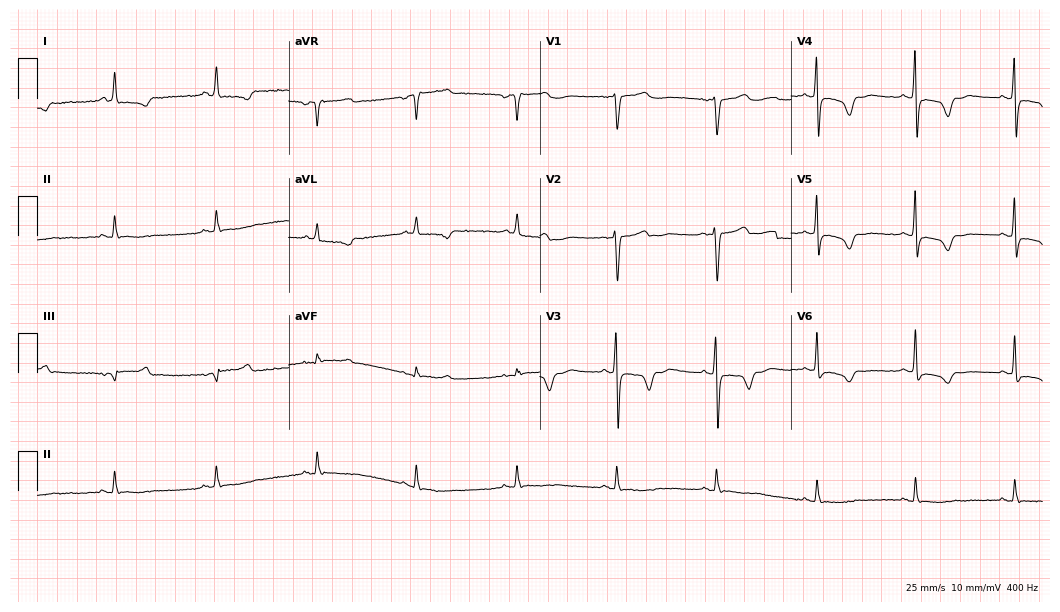
Electrocardiogram (10.2-second recording at 400 Hz), a female patient, 68 years old. Of the six screened findings (first-degree AV block, right bundle branch block (RBBB), left bundle branch block (LBBB), sinus bradycardia, atrial fibrillation (AF), sinus tachycardia), none is recorded.